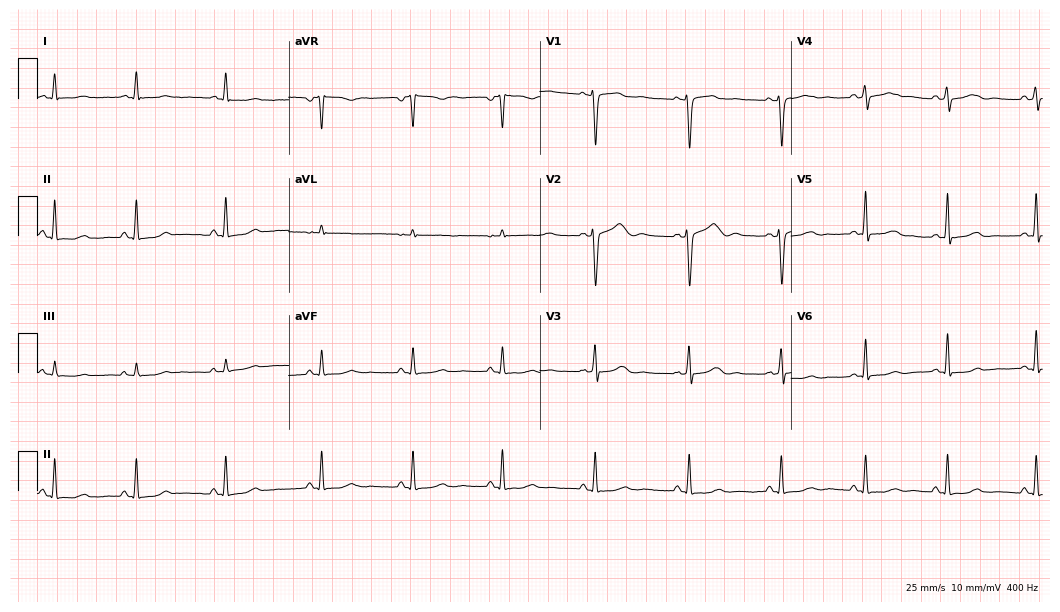
Standard 12-lead ECG recorded from a 35-year-old female patient (10.2-second recording at 400 Hz). None of these six findings is recorded: first-degree AV block, right bundle branch block, left bundle branch block, sinus bradycardia, atrial fibrillation, sinus tachycardia.